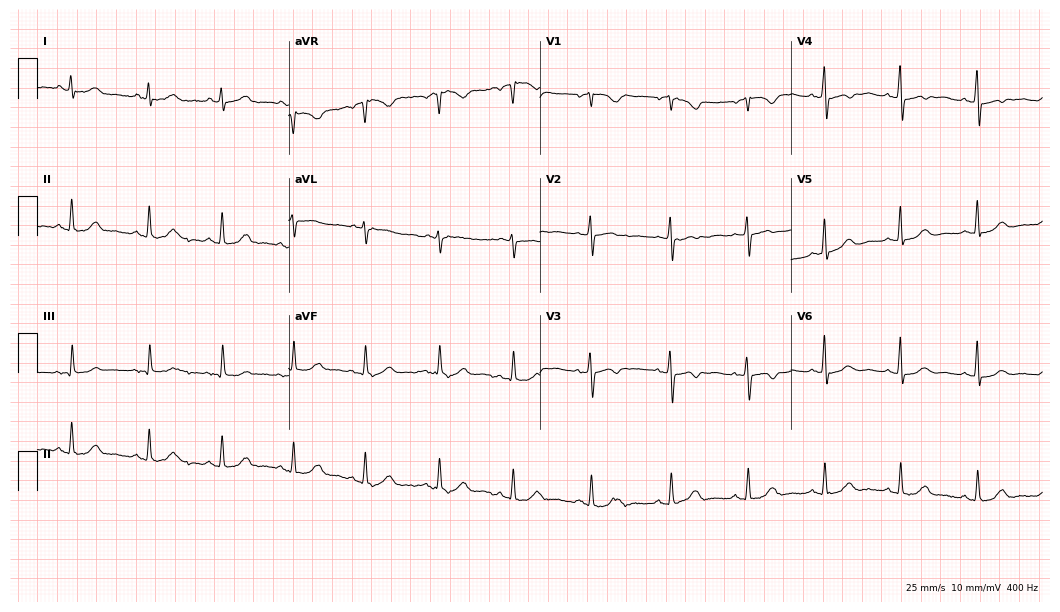
12-lead ECG from a female, 56 years old. No first-degree AV block, right bundle branch block, left bundle branch block, sinus bradycardia, atrial fibrillation or sinus tachycardia recorded for this tracing.